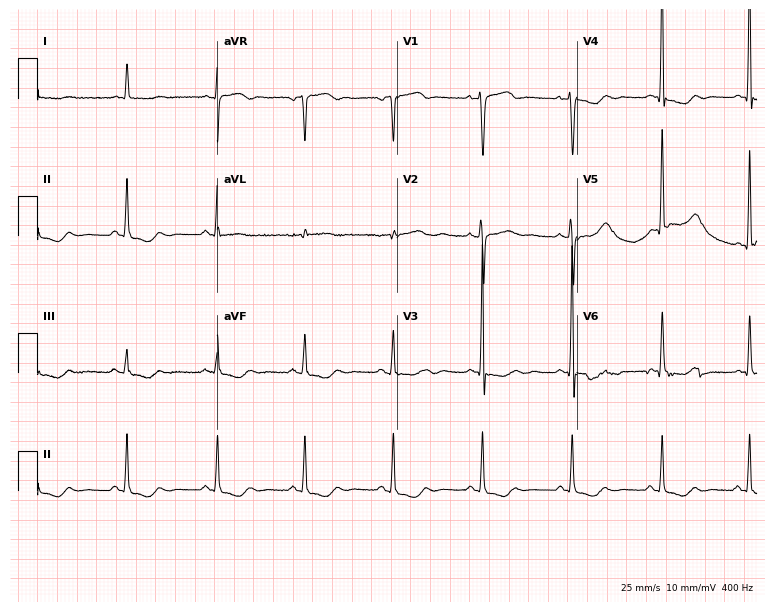
12-lead ECG from an 85-year-old female. Recorded interpretation: within normal limits.